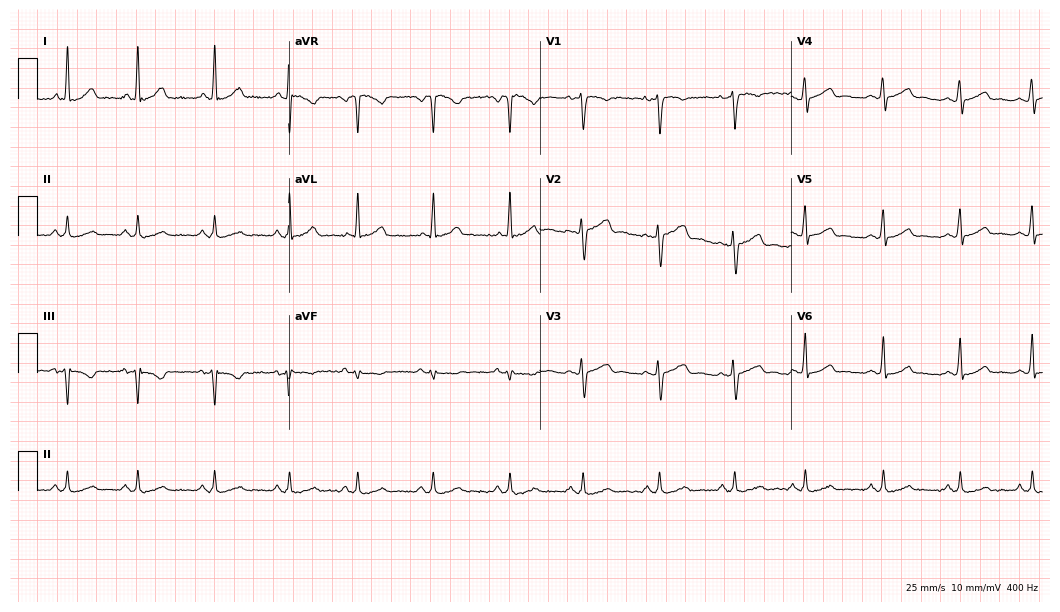
12-lead ECG from a 41-year-old woman. Recorded interpretation: within normal limits.